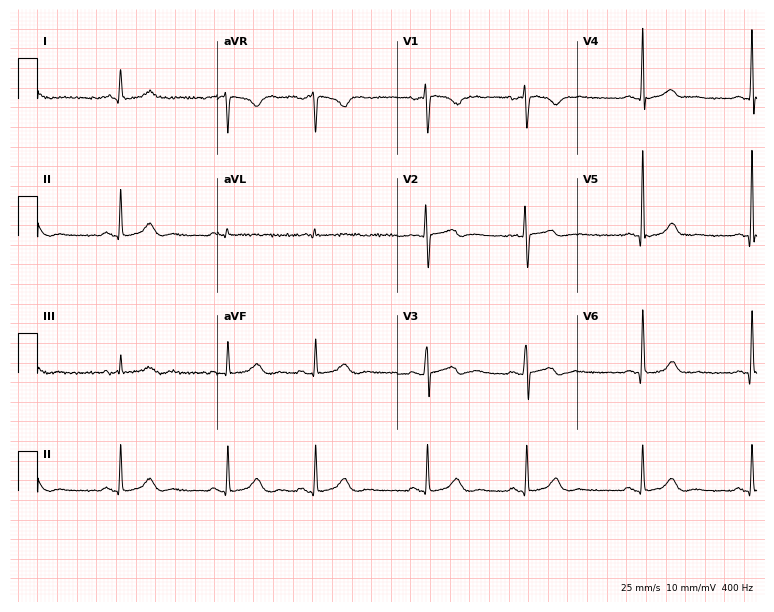
Resting 12-lead electrocardiogram. Patient: a woman, 46 years old. Read as a normal ECG.